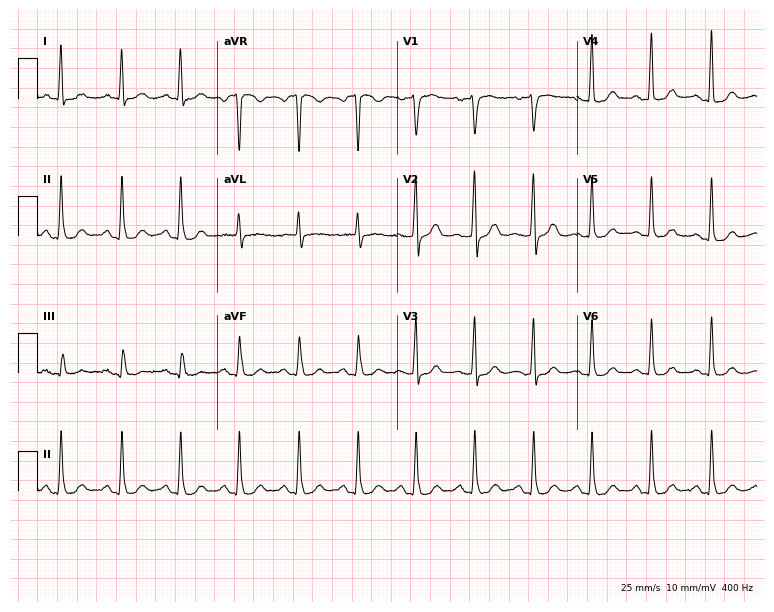
Standard 12-lead ECG recorded from a 49-year-old female. Read as a normal ECG.